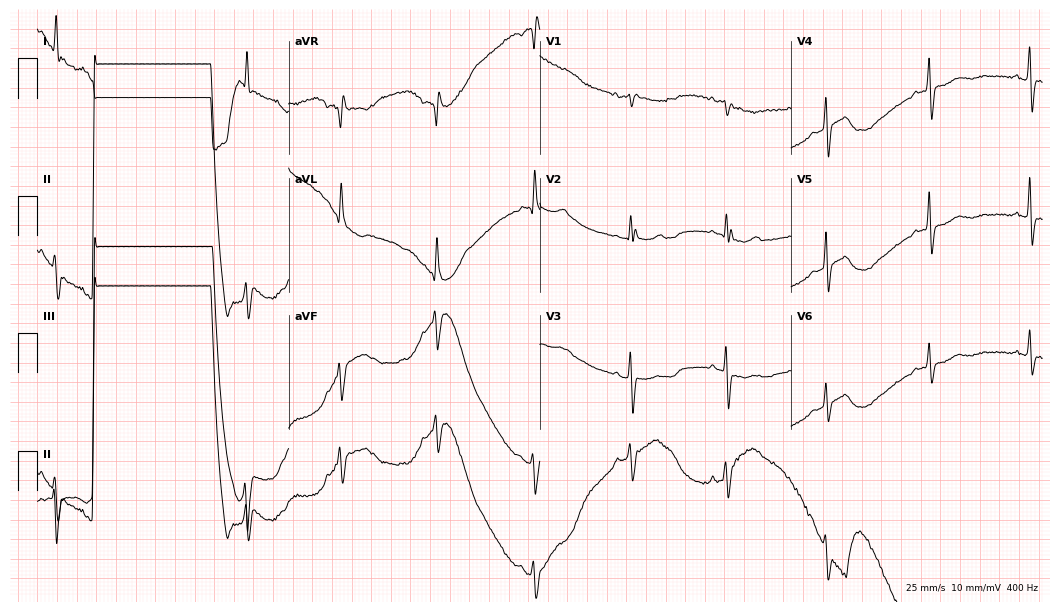
Standard 12-lead ECG recorded from a 69-year-old woman (10.2-second recording at 400 Hz). Read as a normal ECG.